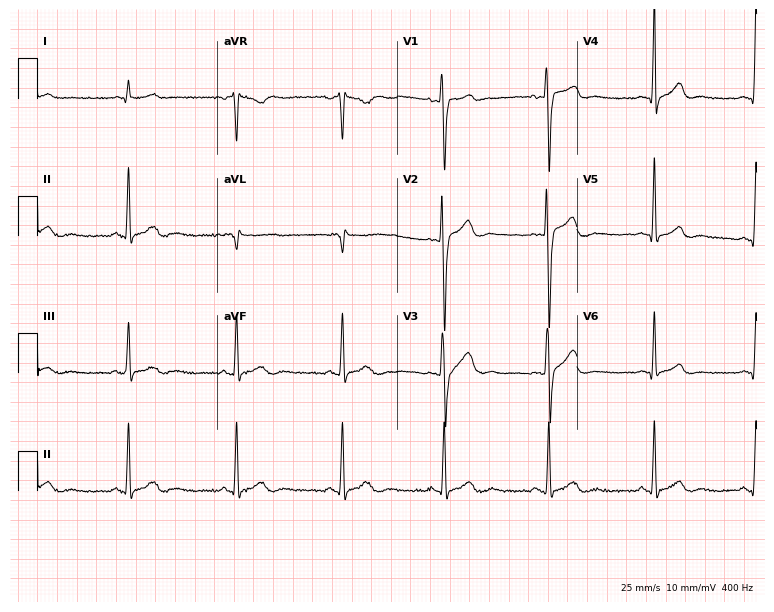
Standard 12-lead ECG recorded from a man, 24 years old. Read as a normal ECG.